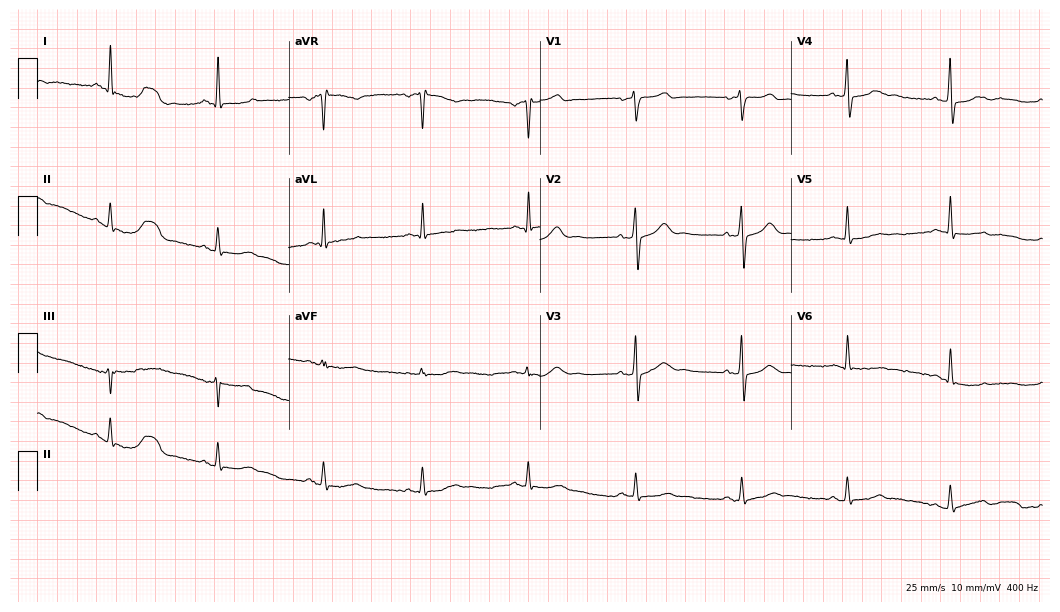
Standard 12-lead ECG recorded from a 52-year-old female patient (10.2-second recording at 400 Hz). Read as a normal ECG.